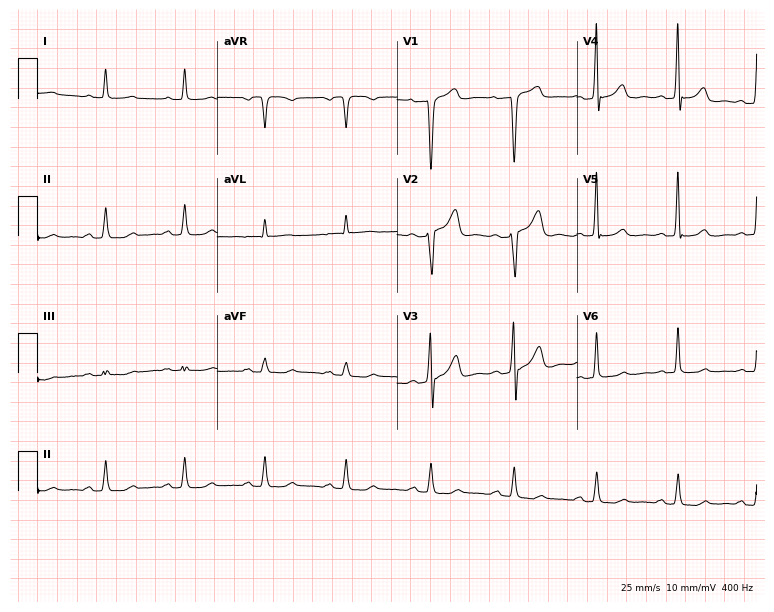
12-lead ECG from a male patient, 51 years old. No first-degree AV block, right bundle branch block, left bundle branch block, sinus bradycardia, atrial fibrillation or sinus tachycardia recorded for this tracing. Other findings, if any, are not listed.